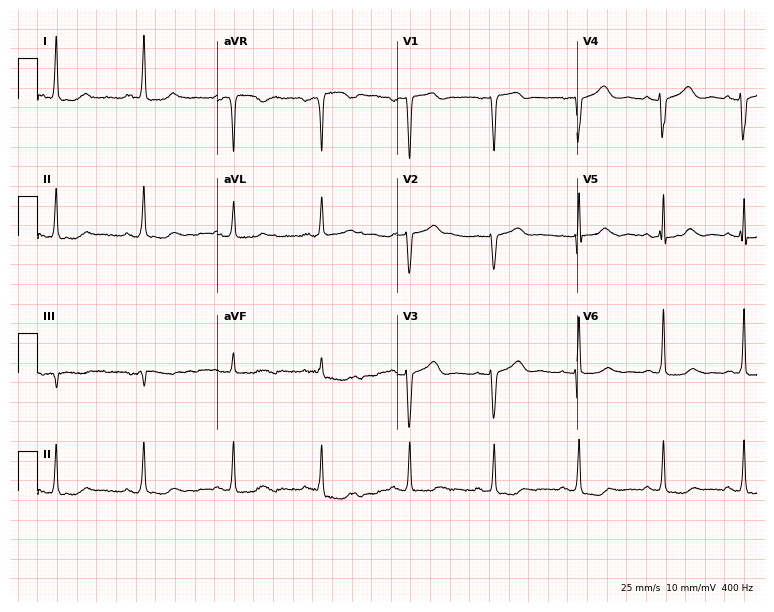
12-lead ECG from a 61-year-old woman. No first-degree AV block, right bundle branch block, left bundle branch block, sinus bradycardia, atrial fibrillation or sinus tachycardia recorded for this tracing. Only these six findings were labelled.